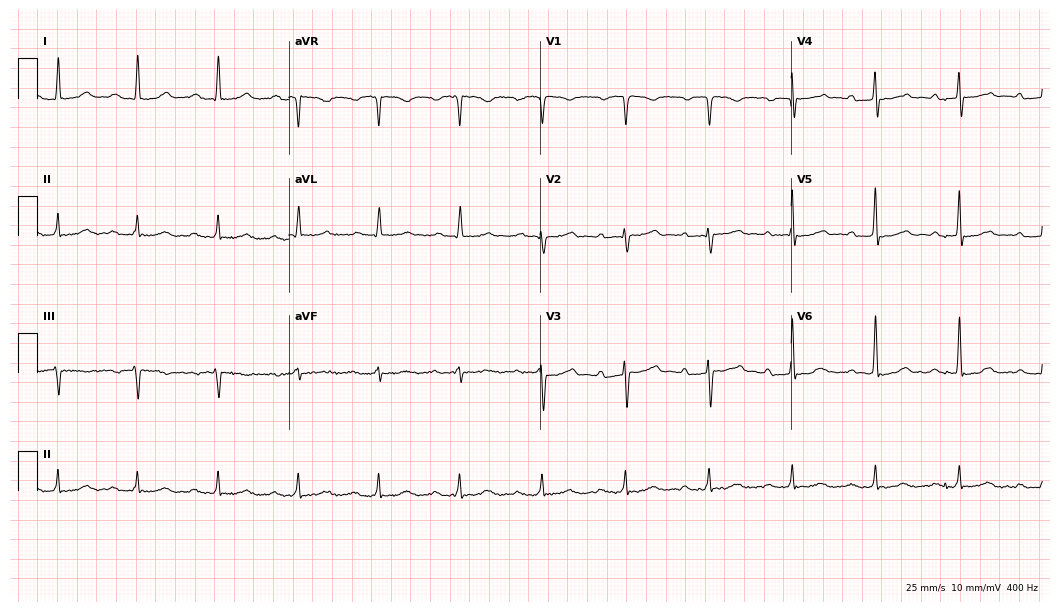
ECG (10.2-second recording at 400 Hz) — a man, 68 years old. Findings include first-degree AV block.